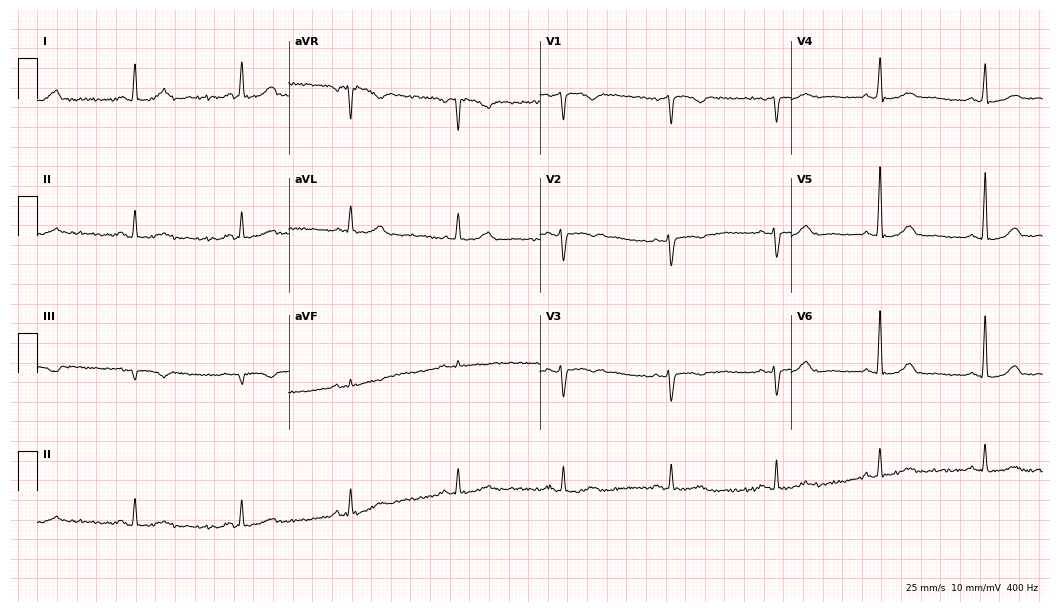
Electrocardiogram, a woman, 66 years old. Of the six screened findings (first-degree AV block, right bundle branch block, left bundle branch block, sinus bradycardia, atrial fibrillation, sinus tachycardia), none is recorded.